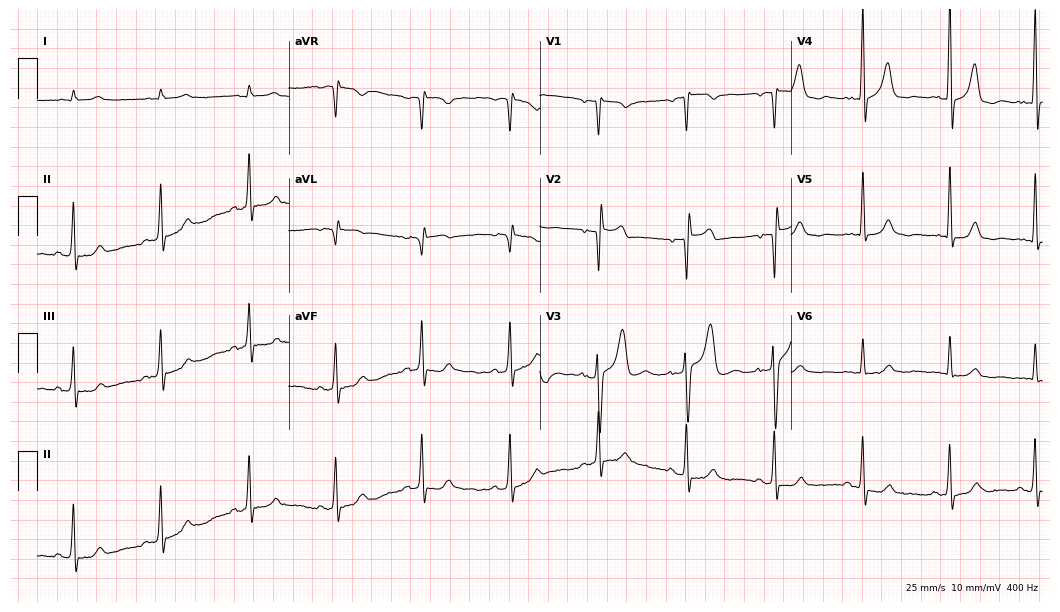
12-lead ECG from a male patient, 73 years old. Screened for six findings — first-degree AV block, right bundle branch block, left bundle branch block, sinus bradycardia, atrial fibrillation, sinus tachycardia — none is recorded. Only these six findings were labelled.